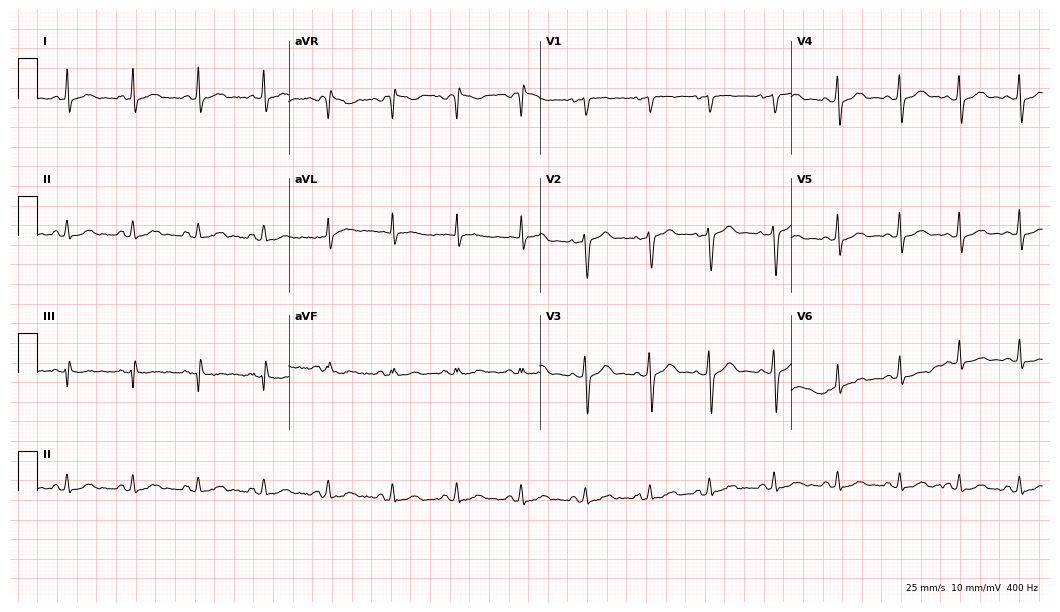
Standard 12-lead ECG recorded from a 50-year-old male. None of these six findings is recorded: first-degree AV block, right bundle branch block, left bundle branch block, sinus bradycardia, atrial fibrillation, sinus tachycardia.